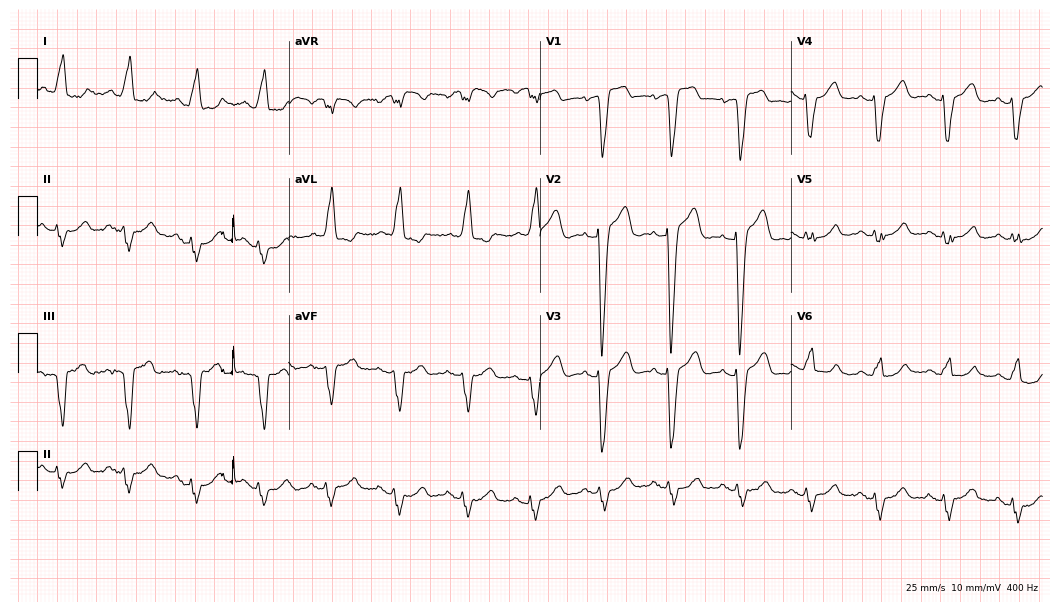
Electrocardiogram, an 83-year-old woman. Interpretation includes left bundle branch block.